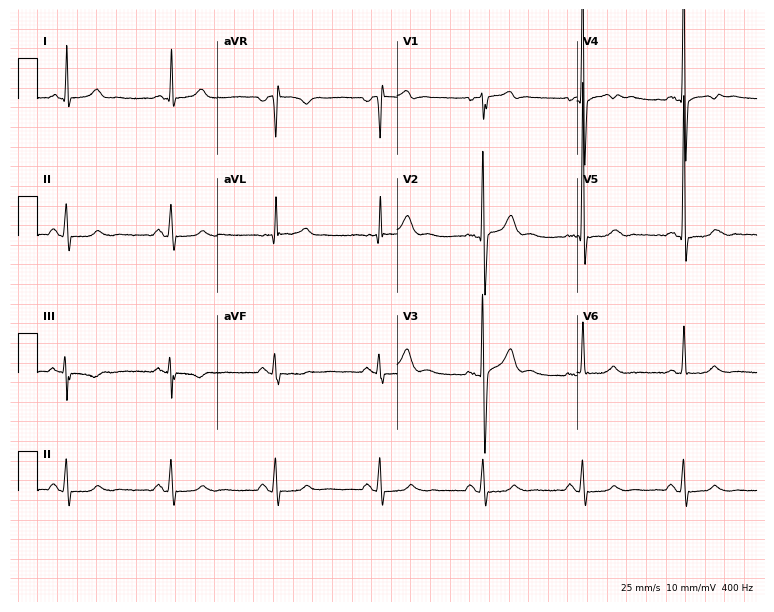
Electrocardiogram, a 69-year-old male. Overall reading on record: normal ECG.